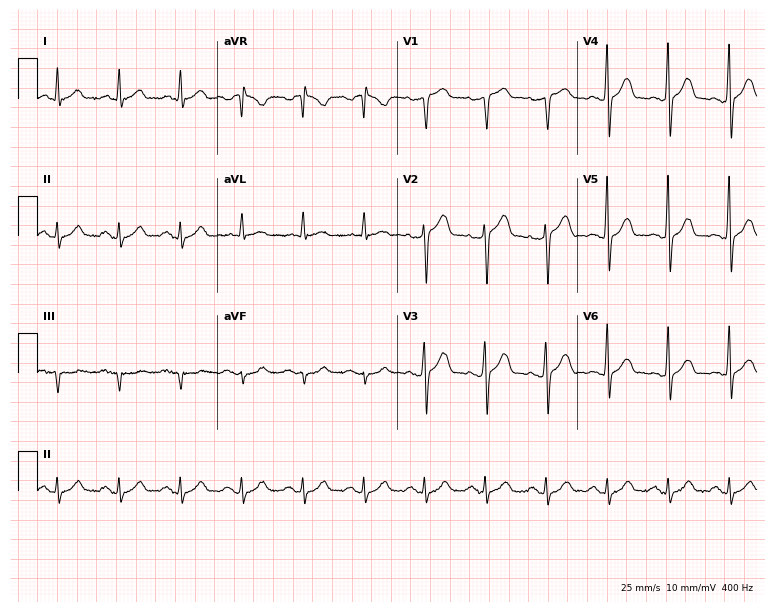
Standard 12-lead ECG recorded from a 42-year-old male patient (7.3-second recording at 400 Hz). None of these six findings is recorded: first-degree AV block, right bundle branch block (RBBB), left bundle branch block (LBBB), sinus bradycardia, atrial fibrillation (AF), sinus tachycardia. Other findings, if any, are not listed.